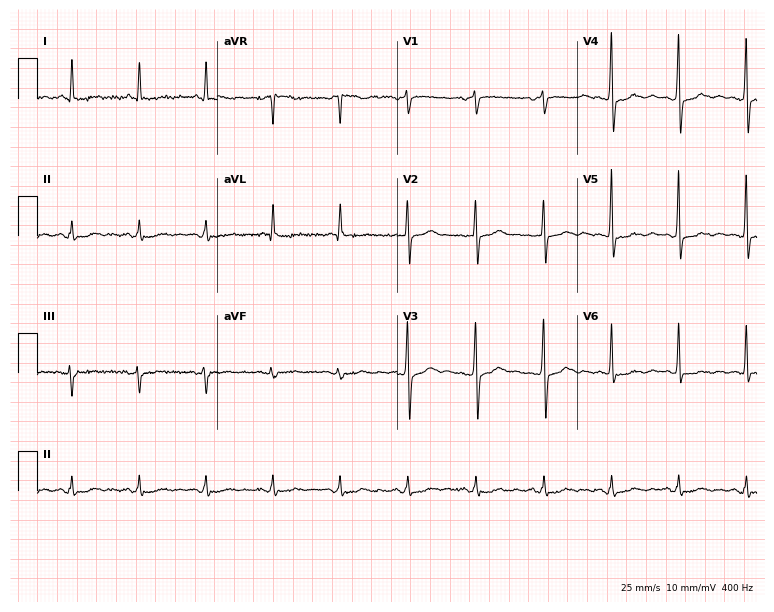
Electrocardiogram, a 68-year-old male. Of the six screened findings (first-degree AV block, right bundle branch block, left bundle branch block, sinus bradycardia, atrial fibrillation, sinus tachycardia), none is recorded.